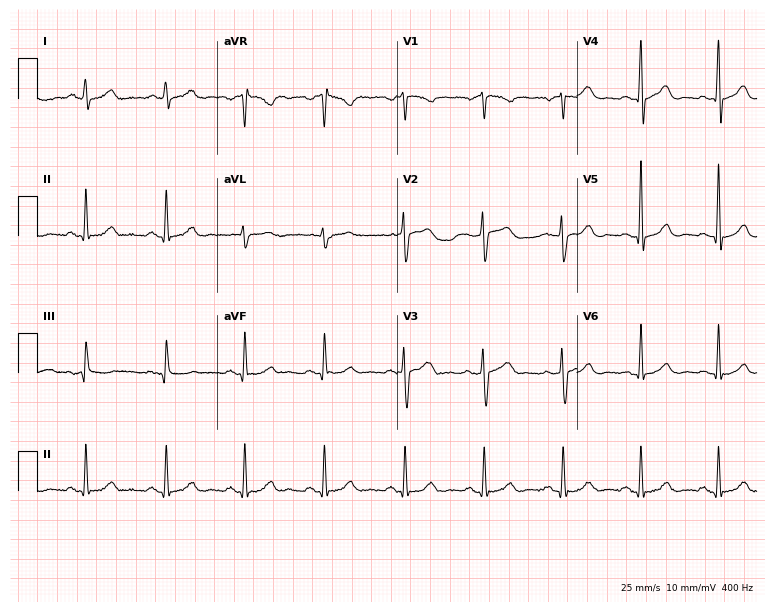
12-lead ECG (7.3-second recording at 400 Hz) from a 57-year-old man. Labelled as a normal ECG.